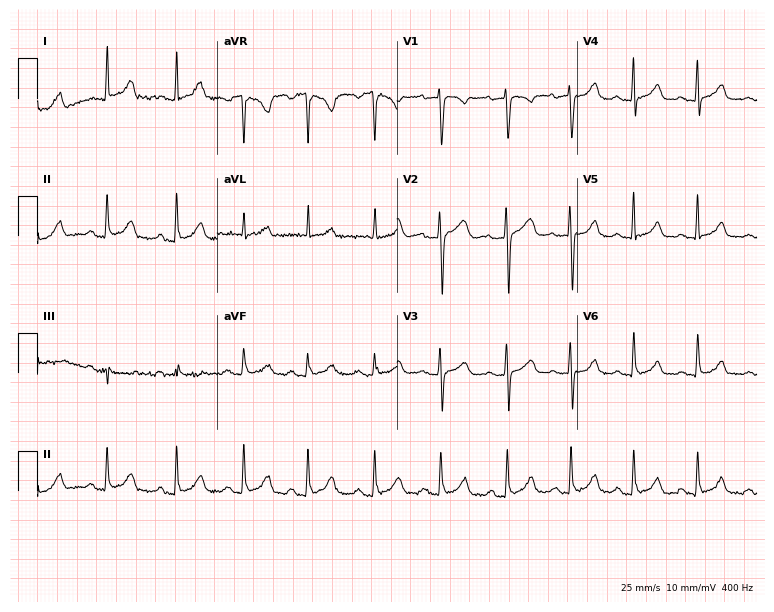
12-lead ECG from a 48-year-old female patient (7.3-second recording at 400 Hz). Recorded interpretation: within normal limits.